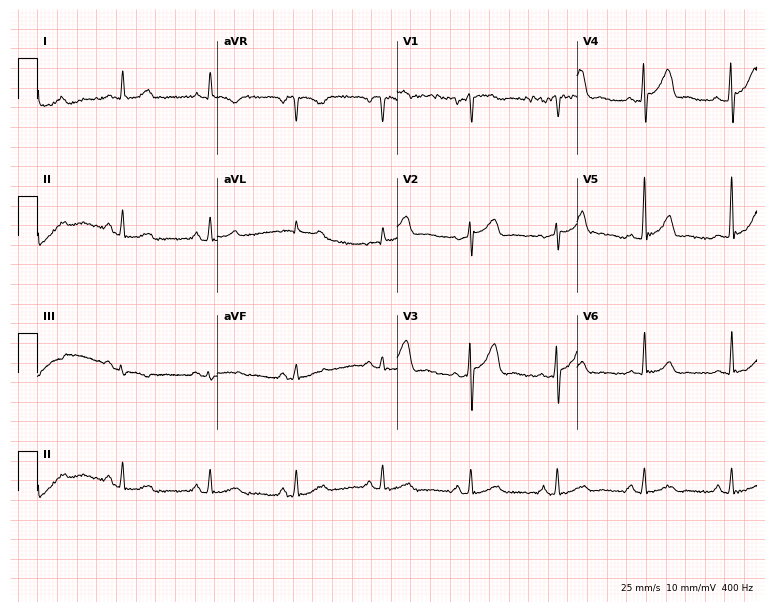
Resting 12-lead electrocardiogram. Patient: a 42-year-old man. Read as a normal ECG.